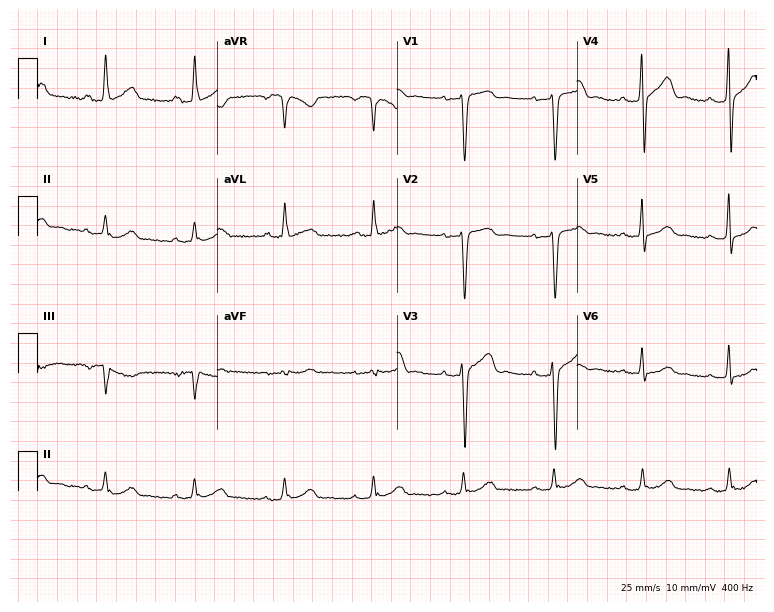
12-lead ECG from a female patient, 61 years old. No first-degree AV block, right bundle branch block, left bundle branch block, sinus bradycardia, atrial fibrillation or sinus tachycardia recorded for this tracing.